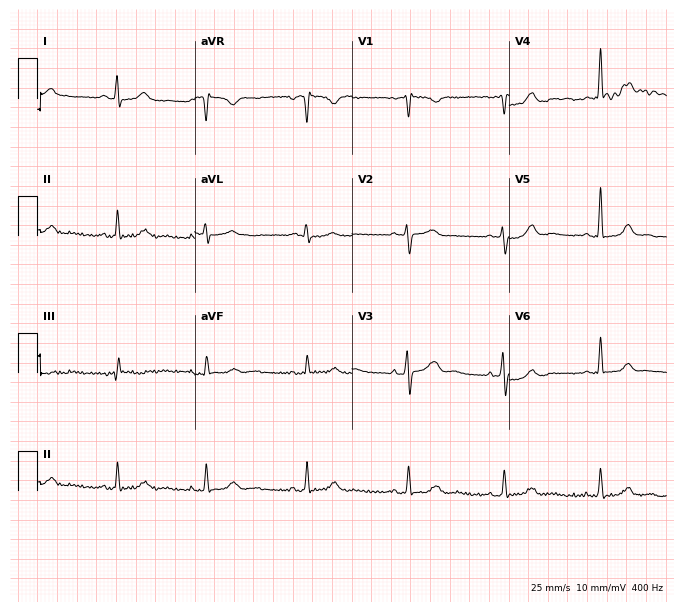
12-lead ECG (6.4-second recording at 400 Hz) from a female patient, 38 years old. Labelled as a normal ECG.